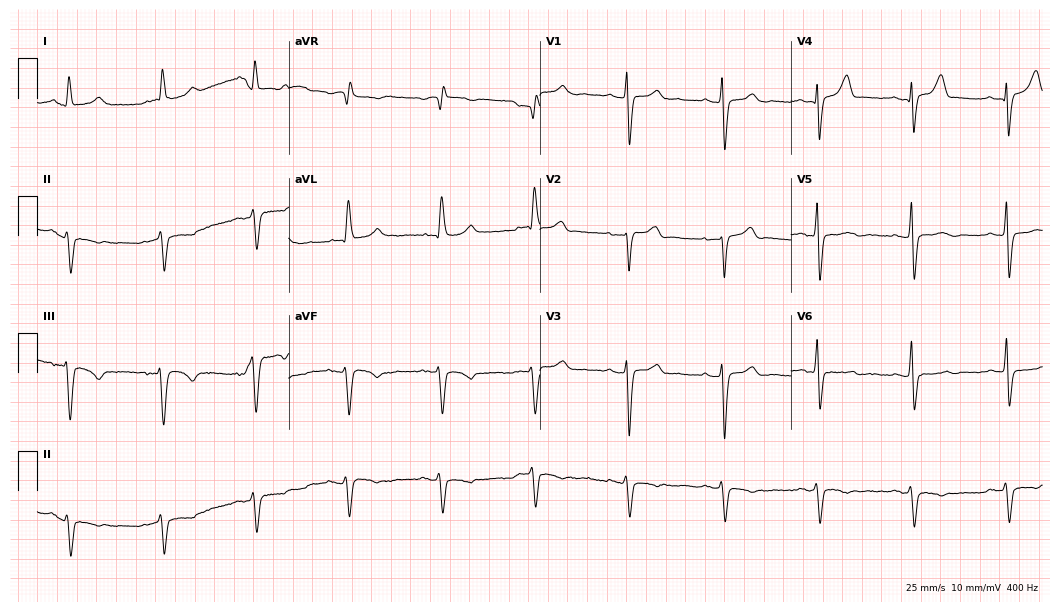
Electrocardiogram (10.2-second recording at 400 Hz), a 77-year-old man. Of the six screened findings (first-degree AV block, right bundle branch block (RBBB), left bundle branch block (LBBB), sinus bradycardia, atrial fibrillation (AF), sinus tachycardia), none is recorded.